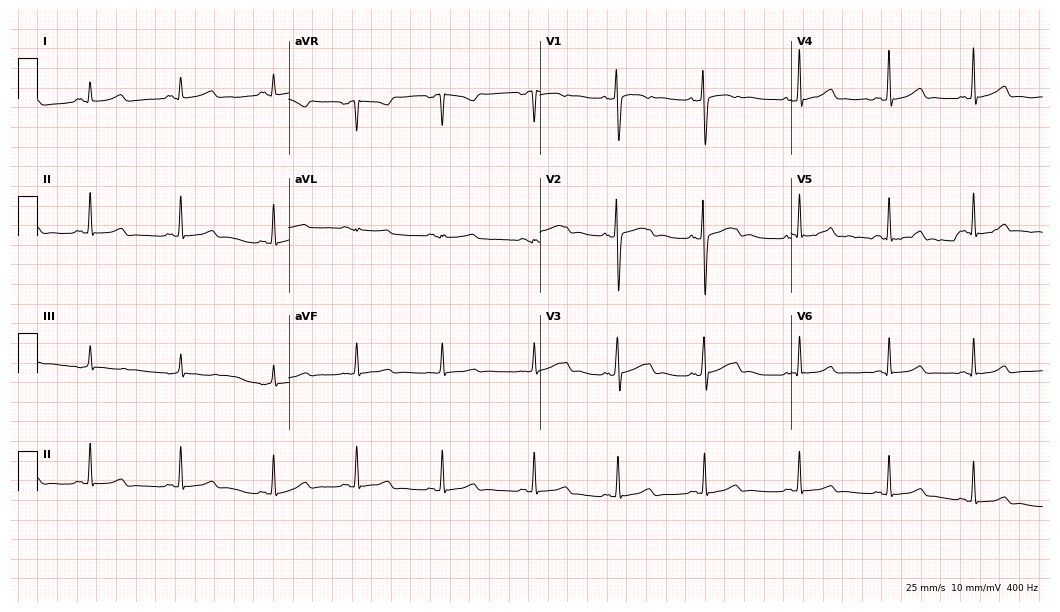
Electrocardiogram, a 25-year-old female. Overall reading on record: normal ECG.